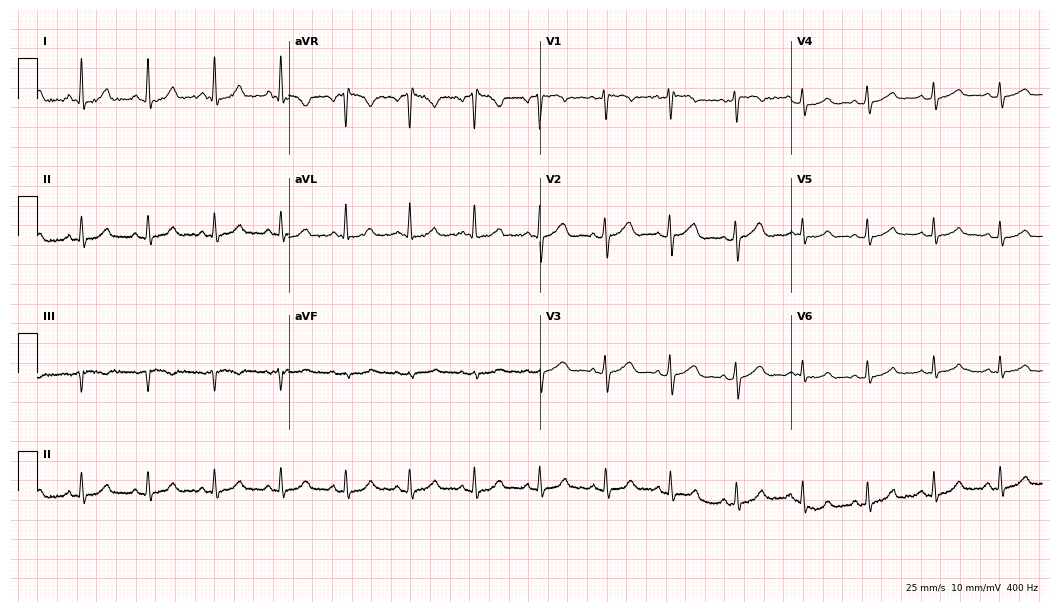
12-lead ECG from a 25-year-old female patient. Labelled as a normal ECG.